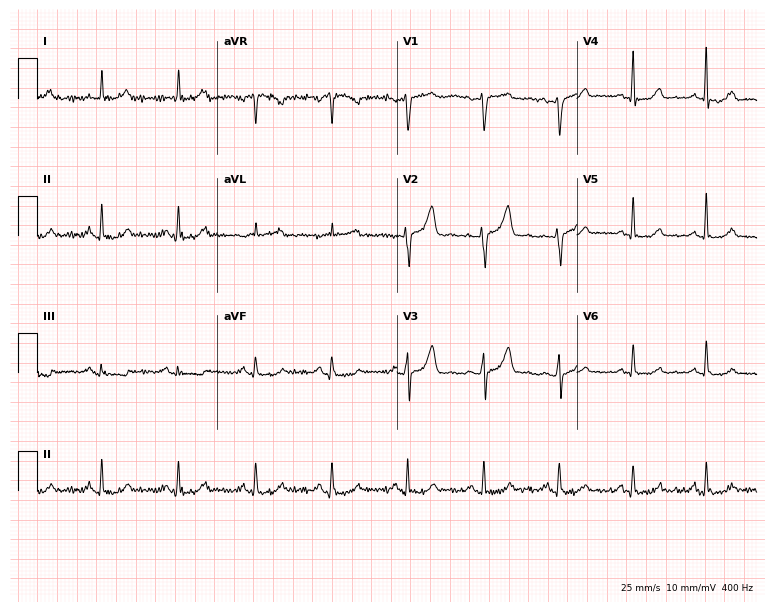
12-lead ECG from a 53-year-old woman (7.3-second recording at 400 Hz). Recorded interpretation: within normal limits.